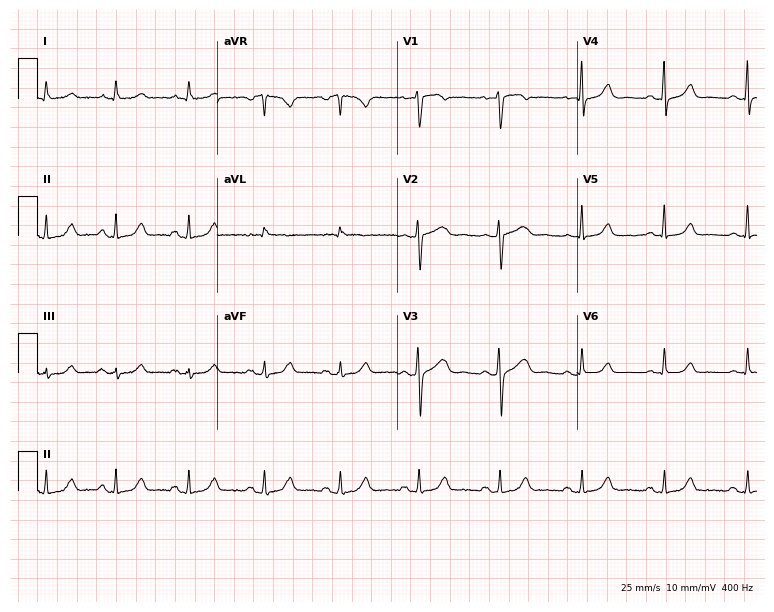
ECG — a female patient, 51 years old. Labelled as a normal ECG.